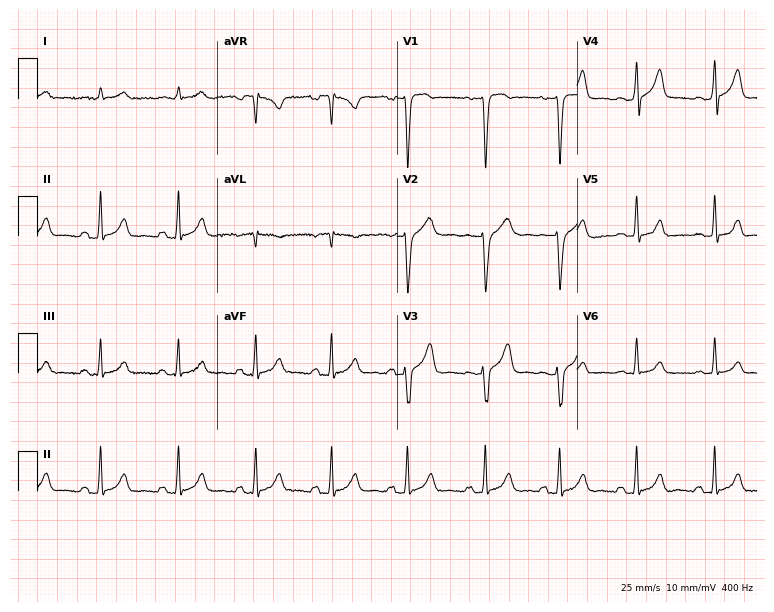
Electrocardiogram (7.3-second recording at 400 Hz), a 33-year-old man. Overall reading on record: normal ECG.